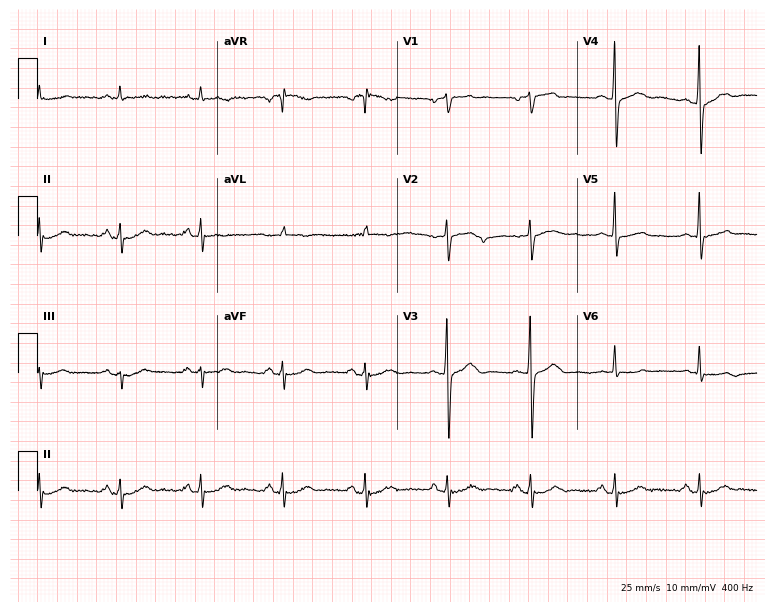
12-lead ECG (7.3-second recording at 400 Hz) from a 59-year-old man. Screened for six findings — first-degree AV block, right bundle branch block, left bundle branch block, sinus bradycardia, atrial fibrillation, sinus tachycardia — none is recorded.